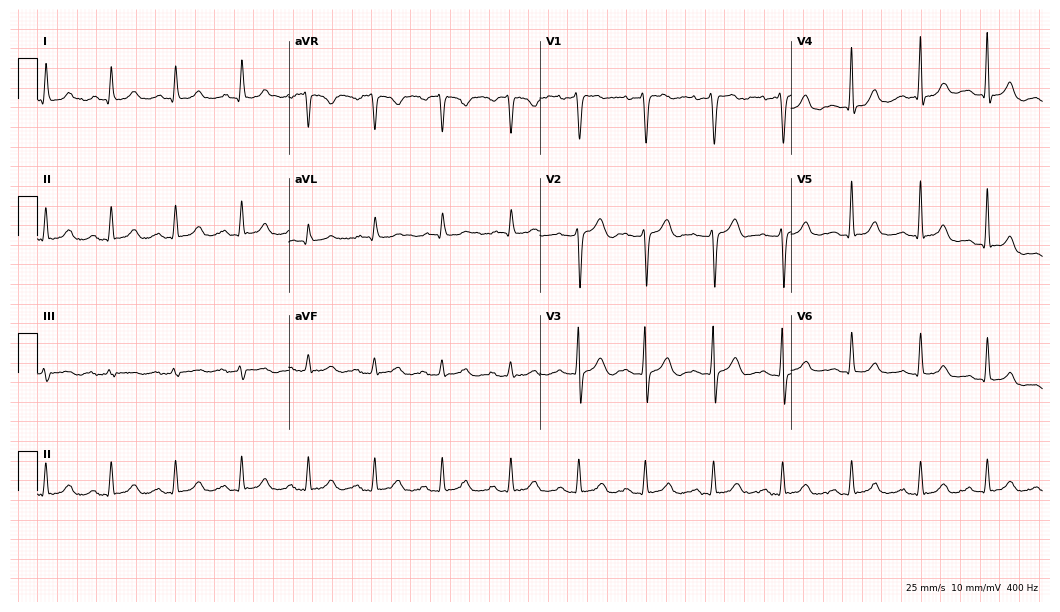
12-lead ECG (10.2-second recording at 400 Hz) from a male, 38 years old. Screened for six findings — first-degree AV block, right bundle branch block, left bundle branch block, sinus bradycardia, atrial fibrillation, sinus tachycardia — none is recorded.